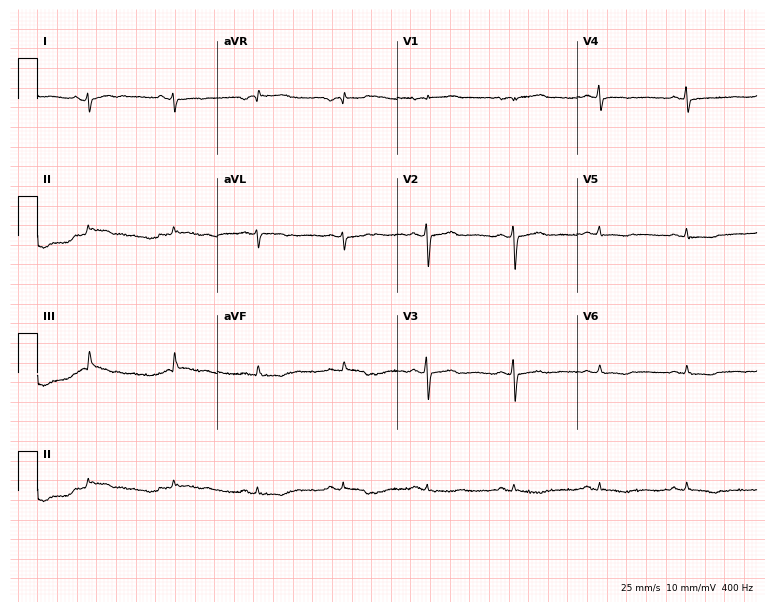
12-lead ECG from a woman, 29 years old. Screened for six findings — first-degree AV block, right bundle branch block (RBBB), left bundle branch block (LBBB), sinus bradycardia, atrial fibrillation (AF), sinus tachycardia — none is recorded. Only these six findings were labelled.